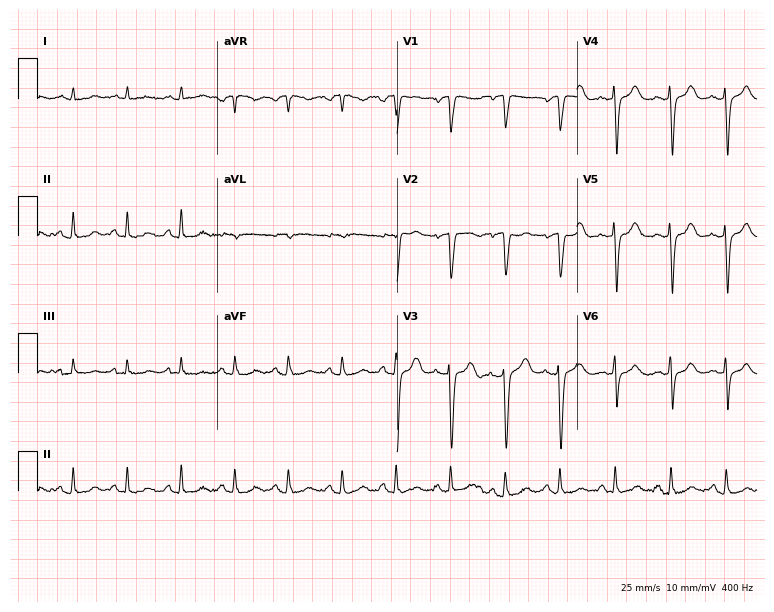
Electrocardiogram (7.3-second recording at 400 Hz), a 78-year-old man. Of the six screened findings (first-degree AV block, right bundle branch block, left bundle branch block, sinus bradycardia, atrial fibrillation, sinus tachycardia), none is recorded.